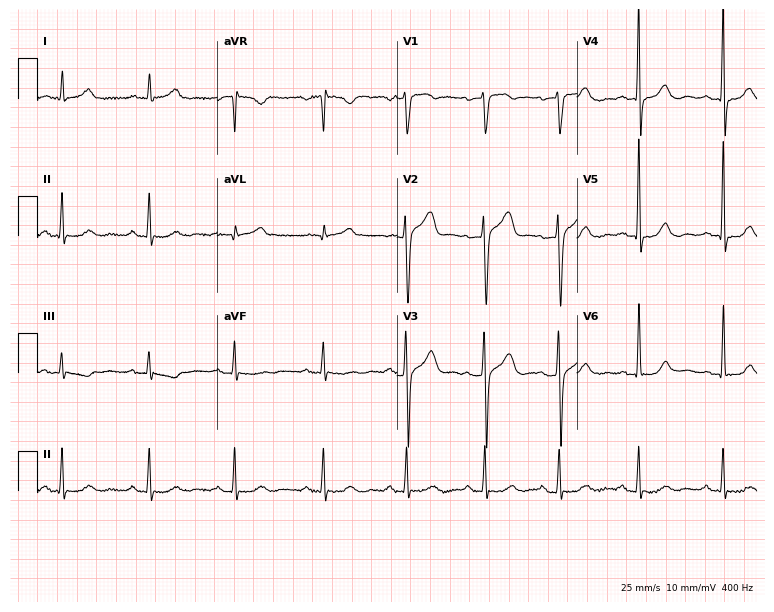
Electrocardiogram (7.3-second recording at 400 Hz), a man, 62 years old. Of the six screened findings (first-degree AV block, right bundle branch block, left bundle branch block, sinus bradycardia, atrial fibrillation, sinus tachycardia), none is recorded. Only these six findings were labelled.